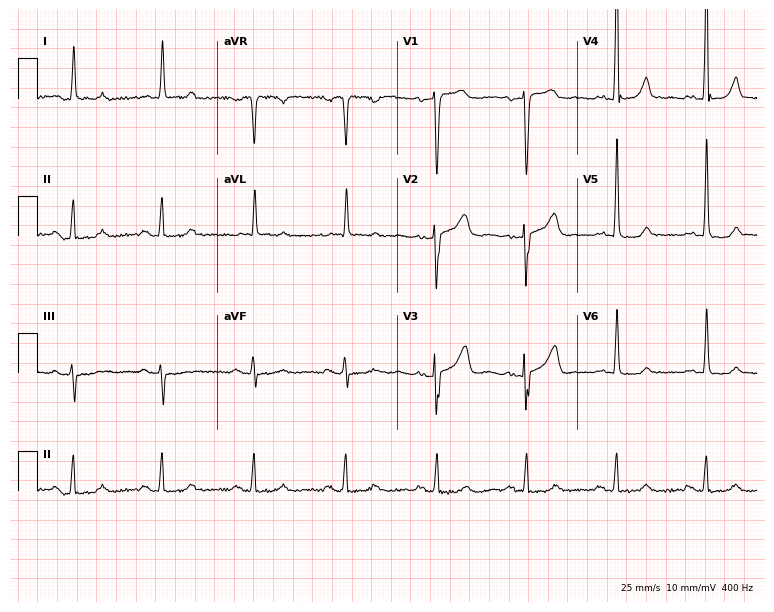
12-lead ECG from a 79-year-old woman. No first-degree AV block, right bundle branch block, left bundle branch block, sinus bradycardia, atrial fibrillation or sinus tachycardia recorded for this tracing.